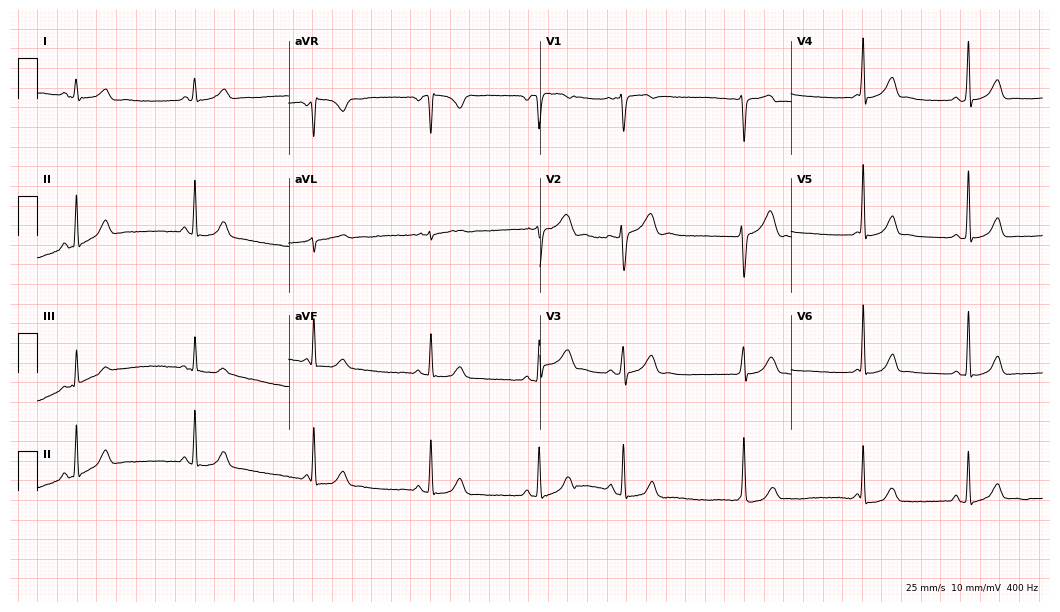
12-lead ECG from a female patient, 25 years old (10.2-second recording at 400 Hz). No first-degree AV block, right bundle branch block (RBBB), left bundle branch block (LBBB), sinus bradycardia, atrial fibrillation (AF) or sinus tachycardia recorded for this tracing.